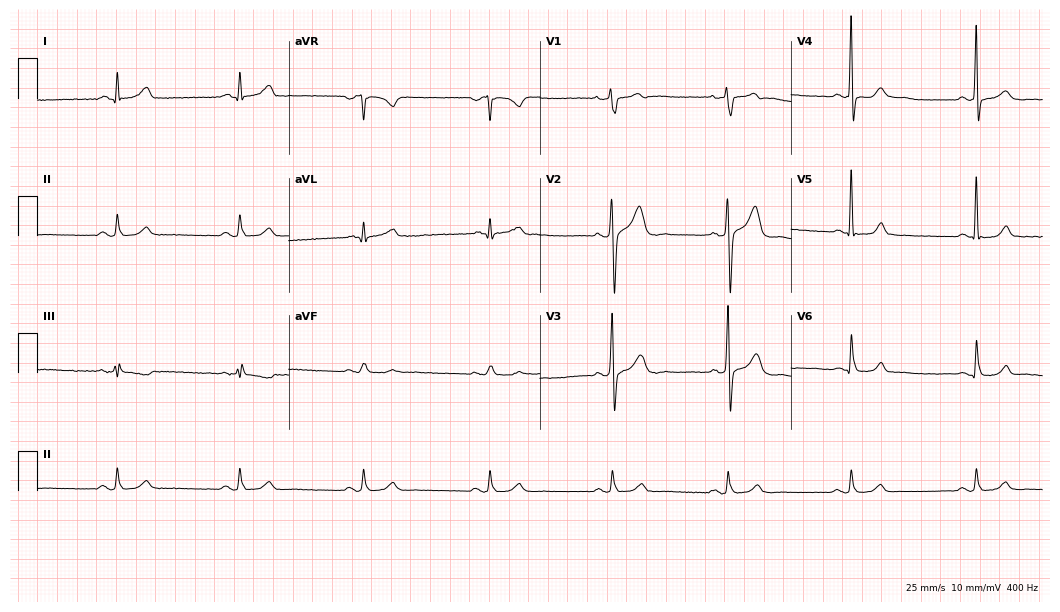
Standard 12-lead ECG recorded from a 43-year-old male patient (10.2-second recording at 400 Hz). The tracing shows sinus bradycardia (a sinus rate of 50 beats per minute or less).